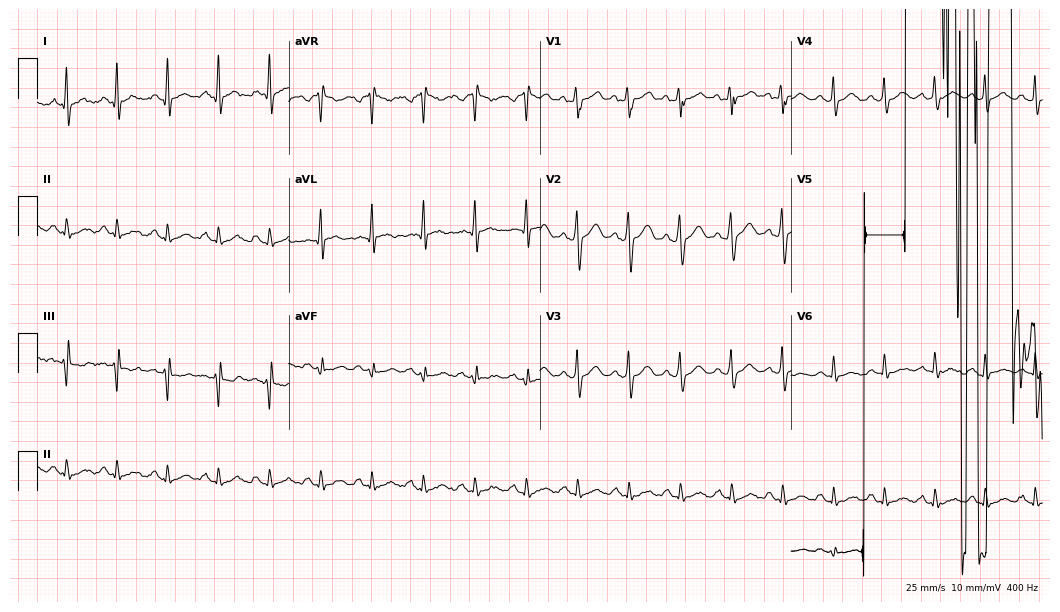
ECG — a 31-year-old male patient. Findings include atrial fibrillation.